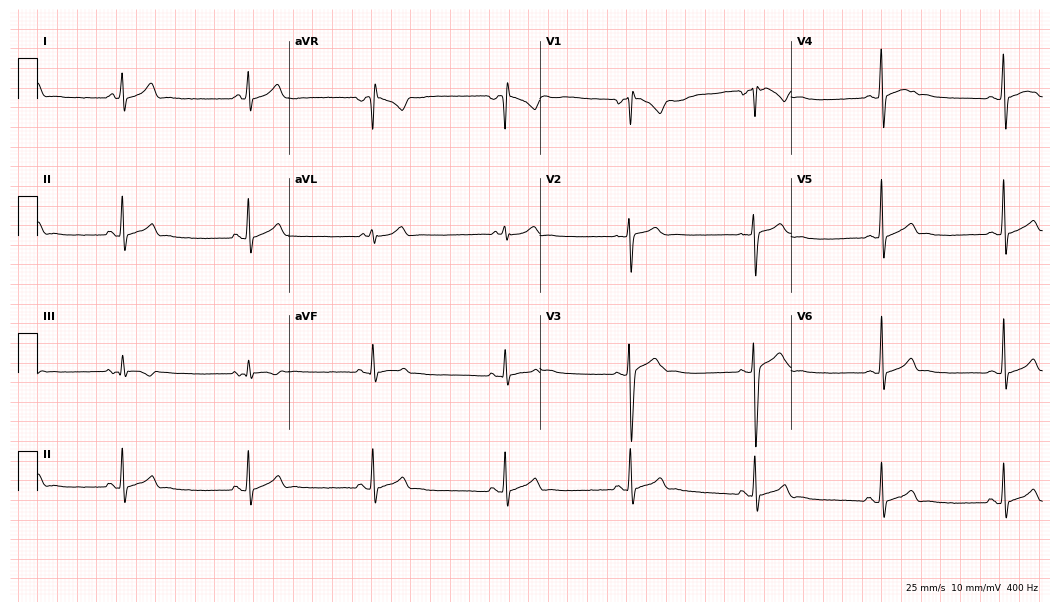
12-lead ECG from a male, 17 years old. Labelled as a normal ECG.